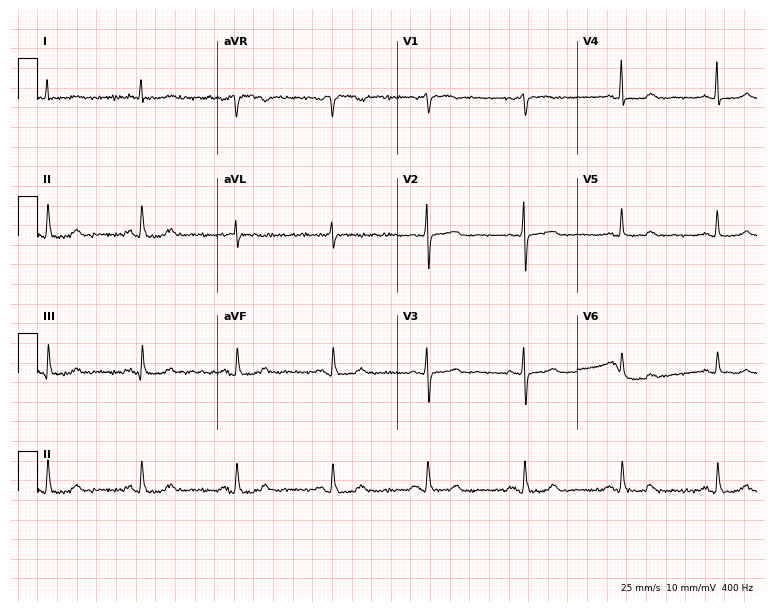
12-lead ECG from a 74-year-old woman. Screened for six findings — first-degree AV block, right bundle branch block, left bundle branch block, sinus bradycardia, atrial fibrillation, sinus tachycardia — none is recorded.